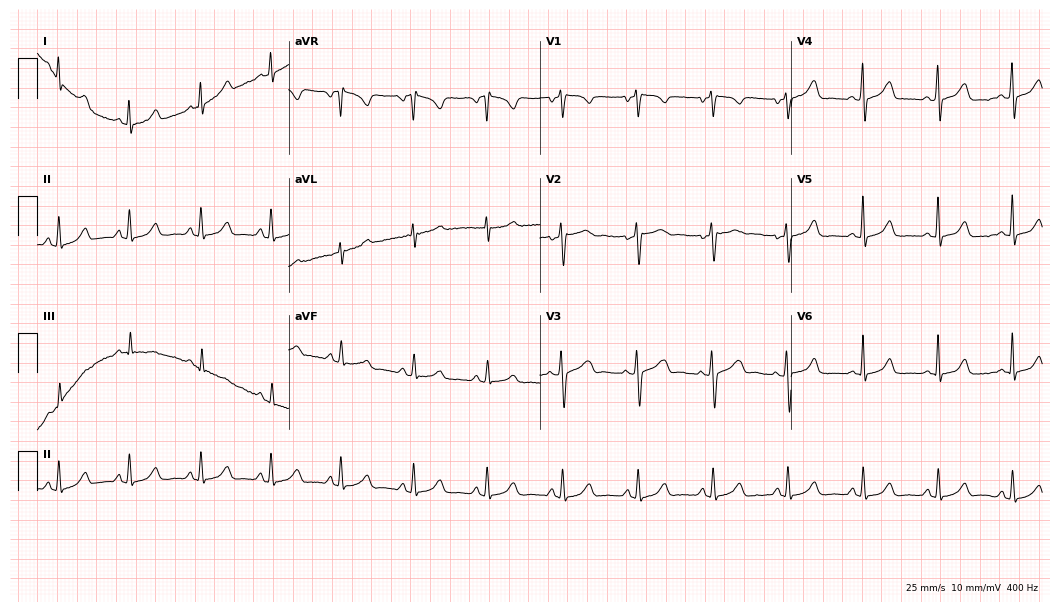
Resting 12-lead electrocardiogram (10.2-second recording at 400 Hz). Patient: a 32-year-old female. Read as a normal ECG.